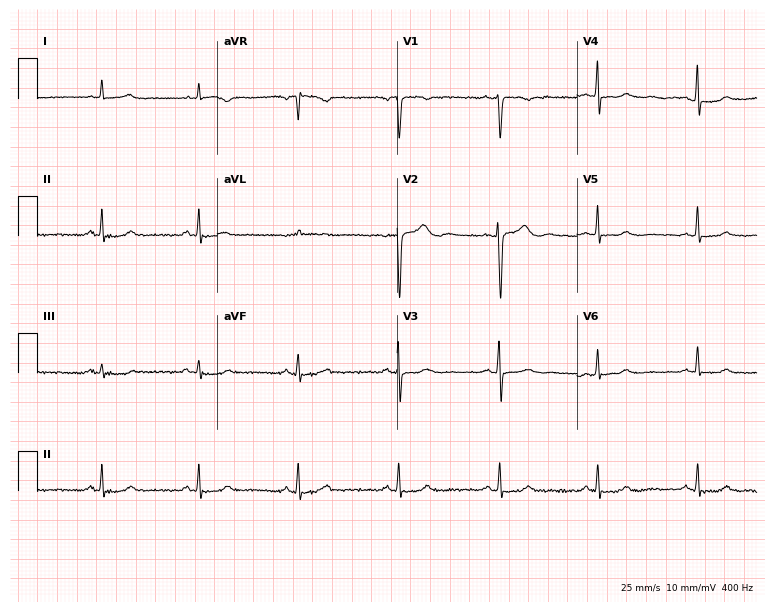
Electrocardiogram (7.3-second recording at 400 Hz), a female patient, 44 years old. Of the six screened findings (first-degree AV block, right bundle branch block (RBBB), left bundle branch block (LBBB), sinus bradycardia, atrial fibrillation (AF), sinus tachycardia), none is recorded. Other findings, if any, are not listed.